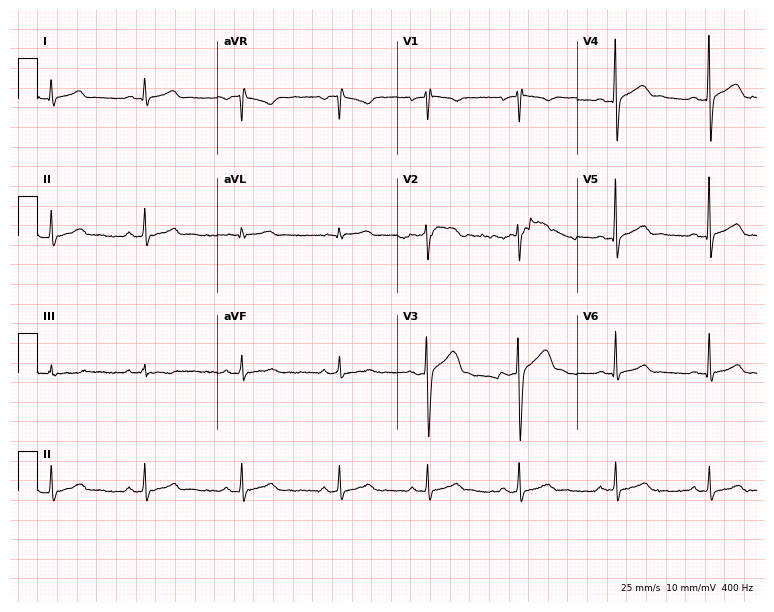
Resting 12-lead electrocardiogram. Patient: a 30-year-old male. None of these six findings is recorded: first-degree AV block, right bundle branch block, left bundle branch block, sinus bradycardia, atrial fibrillation, sinus tachycardia.